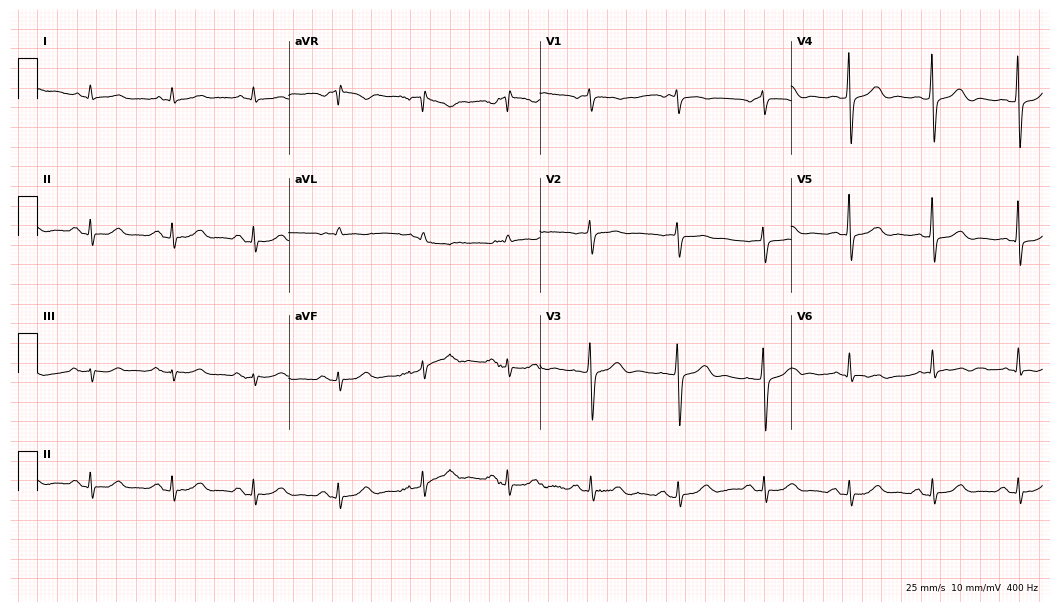
Electrocardiogram, an 82-year-old man. Of the six screened findings (first-degree AV block, right bundle branch block, left bundle branch block, sinus bradycardia, atrial fibrillation, sinus tachycardia), none is recorded.